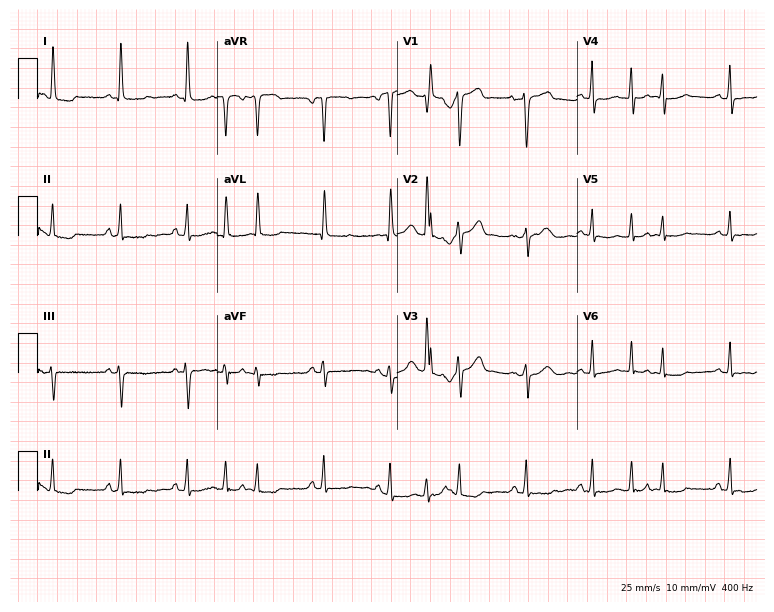
Standard 12-lead ECG recorded from a 63-year-old female (7.3-second recording at 400 Hz). None of these six findings is recorded: first-degree AV block, right bundle branch block, left bundle branch block, sinus bradycardia, atrial fibrillation, sinus tachycardia. Other findings, if any, are not listed.